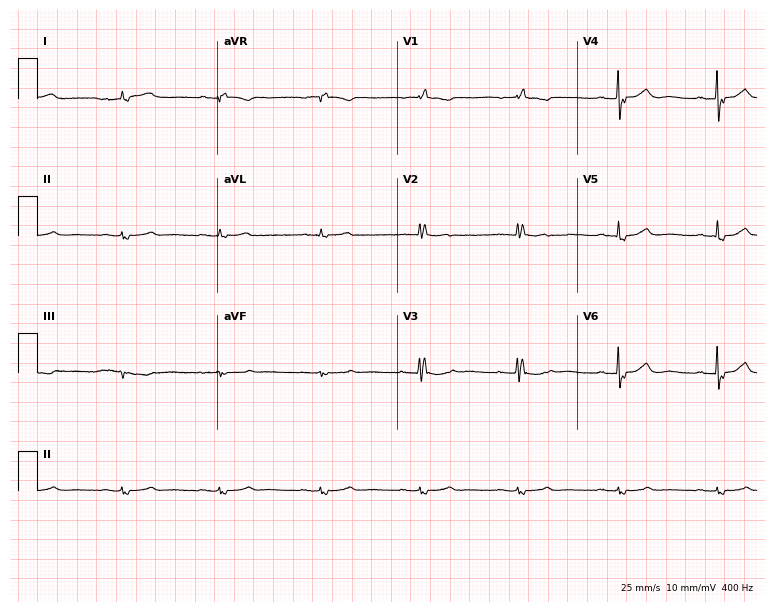
Resting 12-lead electrocardiogram. Patient: an 83-year-old female. None of these six findings is recorded: first-degree AV block, right bundle branch block (RBBB), left bundle branch block (LBBB), sinus bradycardia, atrial fibrillation (AF), sinus tachycardia.